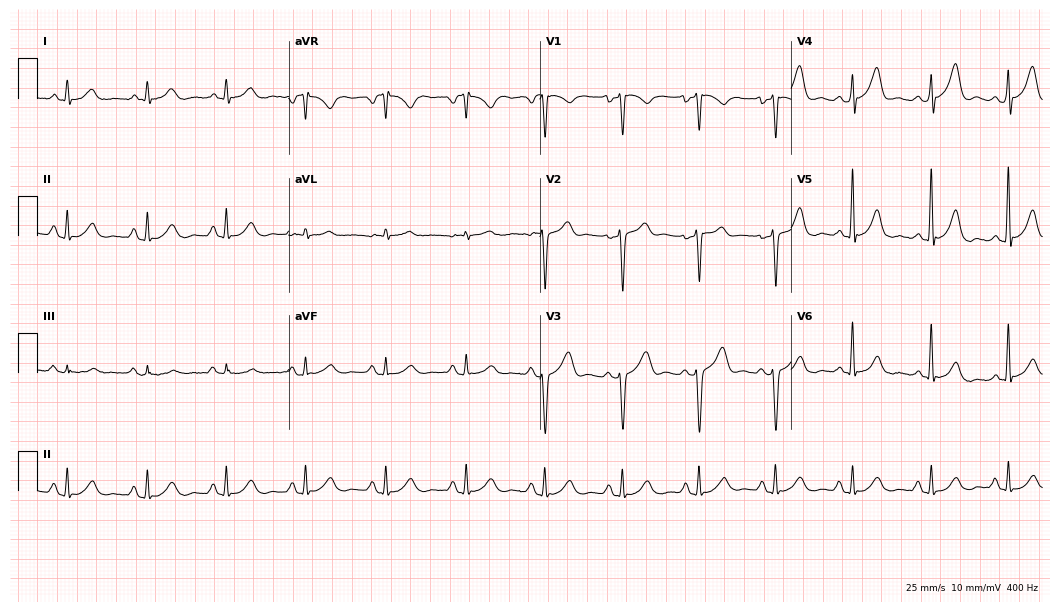
12-lead ECG from a male, 64 years old. Labelled as a normal ECG.